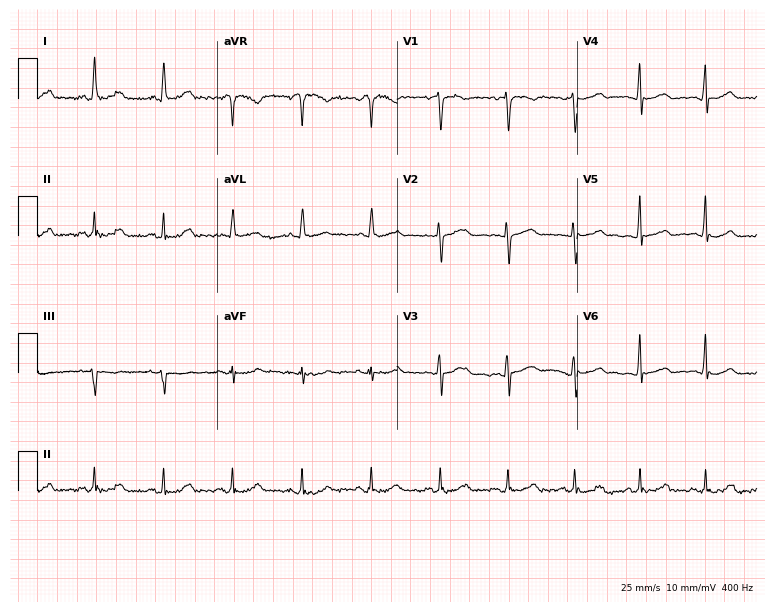
Electrocardiogram, a female, 58 years old. Of the six screened findings (first-degree AV block, right bundle branch block, left bundle branch block, sinus bradycardia, atrial fibrillation, sinus tachycardia), none is recorded. Other findings, if any, are not listed.